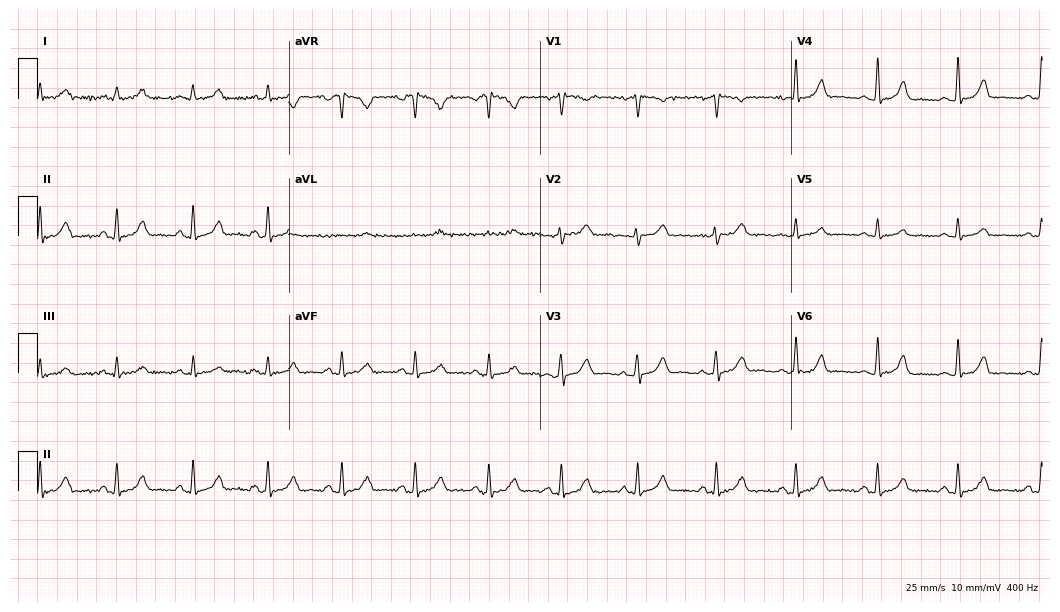
Electrocardiogram, a female patient, 35 years old. Overall reading on record: normal ECG.